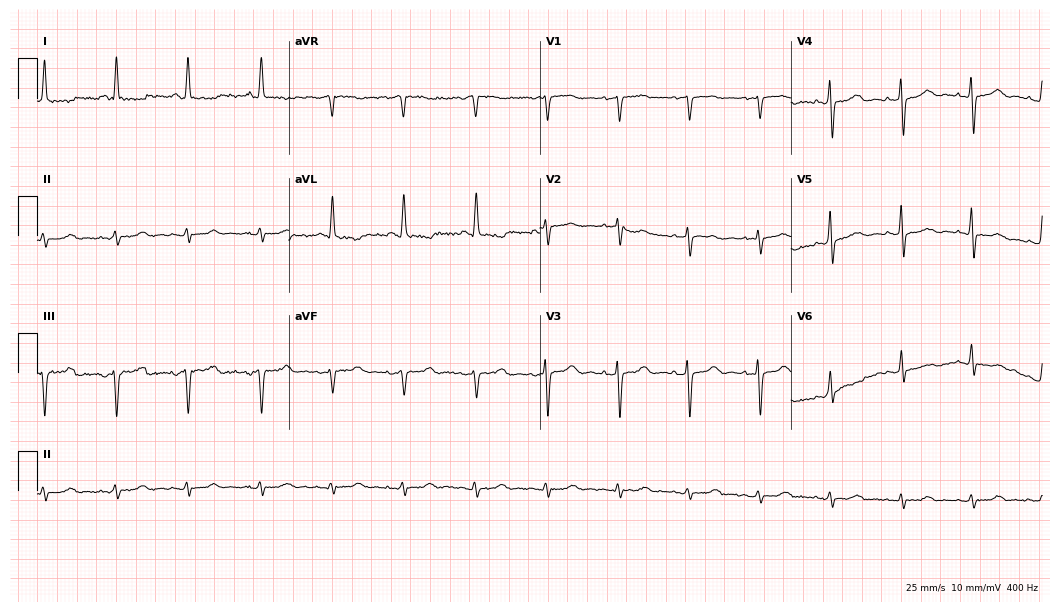
Electrocardiogram, a woman, 73 years old. Of the six screened findings (first-degree AV block, right bundle branch block (RBBB), left bundle branch block (LBBB), sinus bradycardia, atrial fibrillation (AF), sinus tachycardia), none is recorded. Only these six findings were labelled.